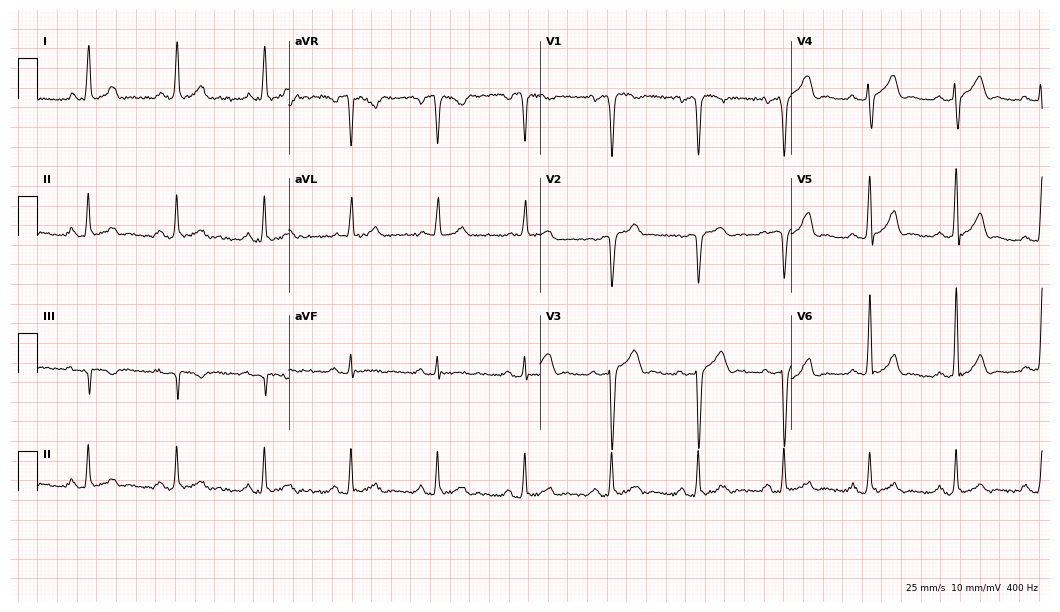
Resting 12-lead electrocardiogram (10.2-second recording at 400 Hz). Patient: a male, 58 years old. Read as a normal ECG.